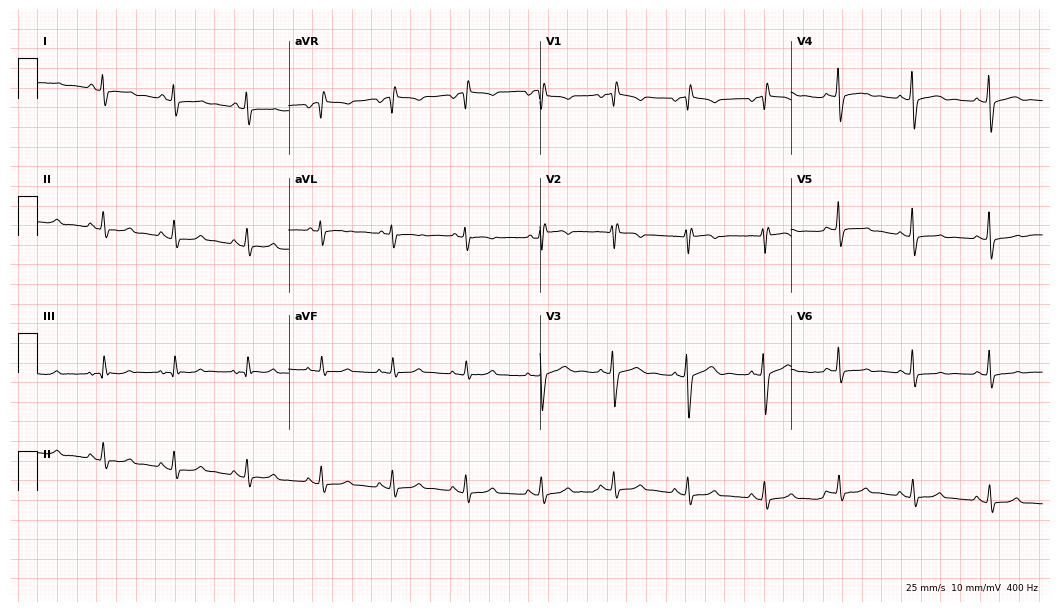
Resting 12-lead electrocardiogram (10.2-second recording at 400 Hz). Patient: a 37-year-old man. None of these six findings is recorded: first-degree AV block, right bundle branch block, left bundle branch block, sinus bradycardia, atrial fibrillation, sinus tachycardia.